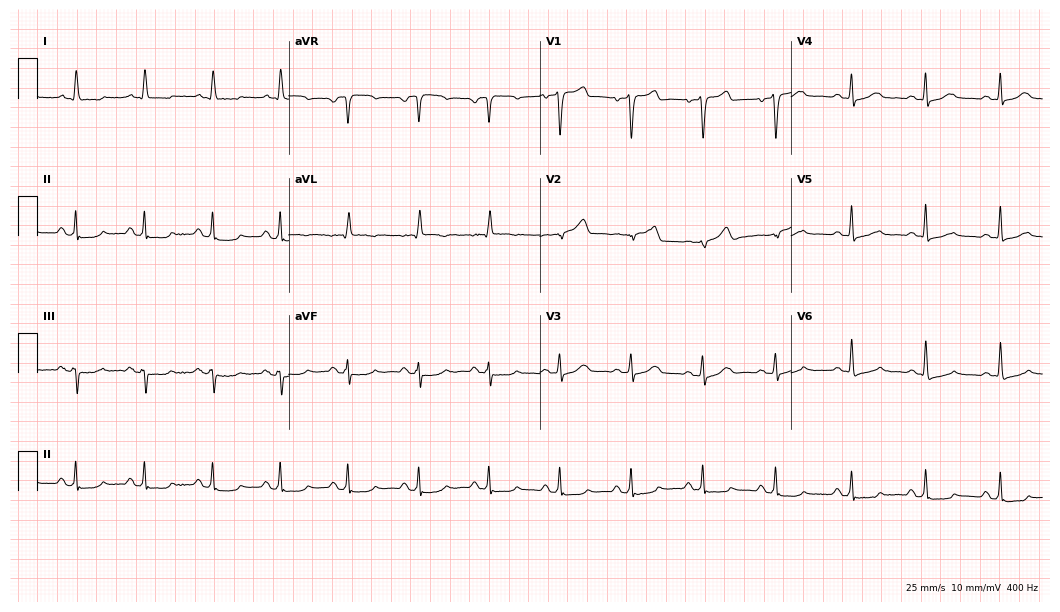
12-lead ECG from a 70-year-old female patient. No first-degree AV block, right bundle branch block (RBBB), left bundle branch block (LBBB), sinus bradycardia, atrial fibrillation (AF) or sinus tachycardia recorded for this tracing. Other findings, if any, are not listed.